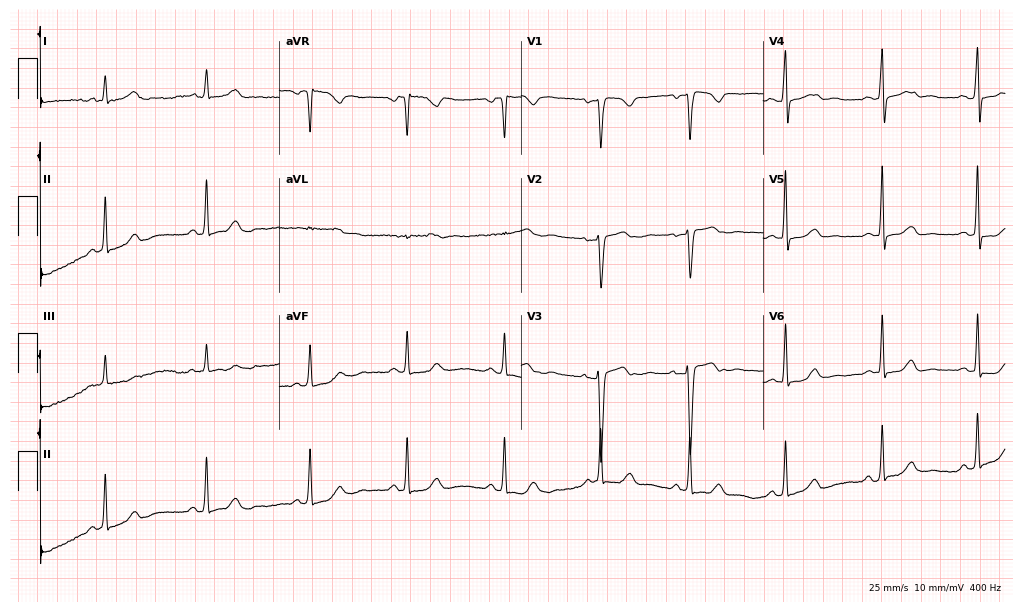
Electrocardiogram (9.9-second recording at 400 Hz), a woman, 34 years old. Overall reading on record: normal ECG.